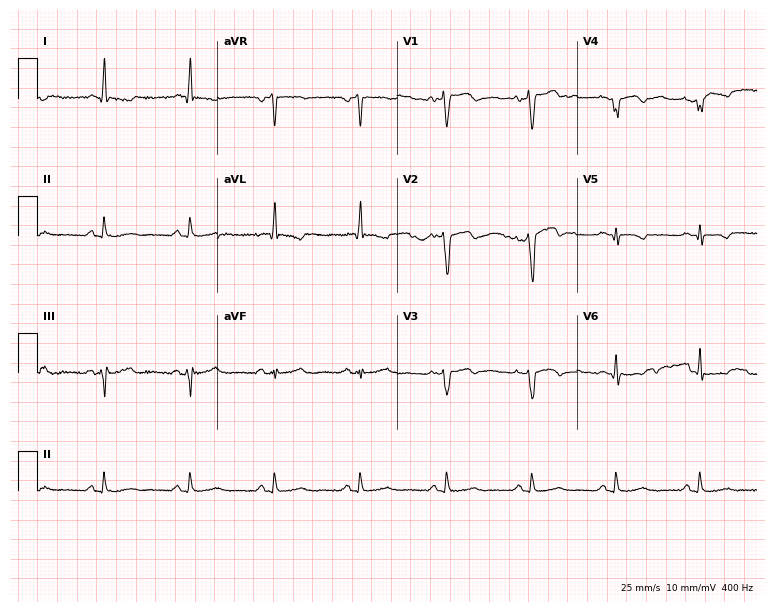
Electrocardiogram, a 54-year-old male patient. Of the six screened findings (first-degree AV block, right bundle branch block (RBBB), left bundle branch block (LBBB), sinus bradycardia, atrial fibrillation (AF), sinus tachycardia), none is recorded.